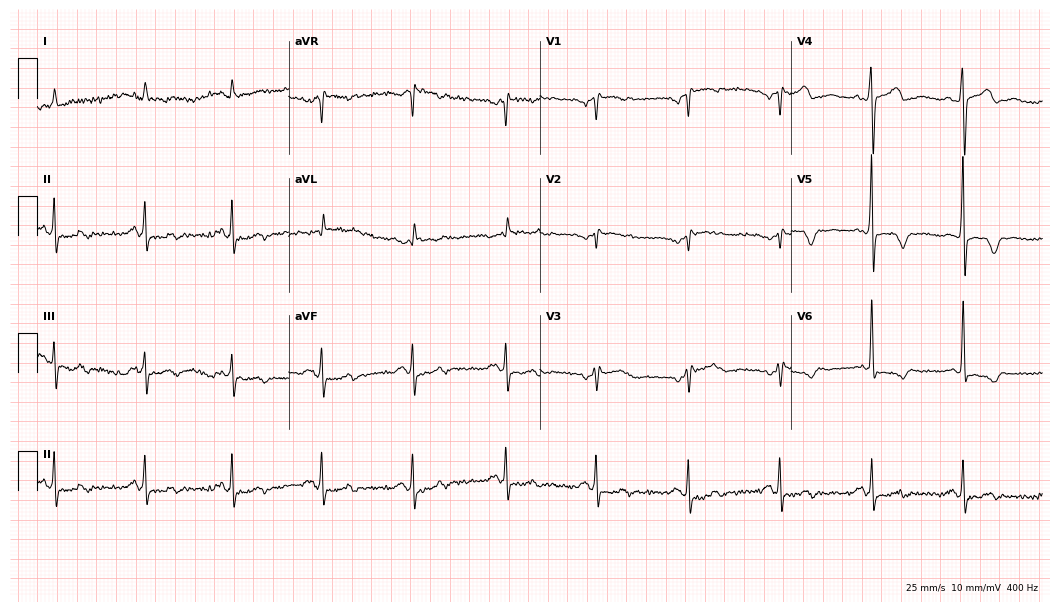
12-lead ECG from a 73-year-old man. Screened for six findings — first-degree AV block, right bundle branch block (RBBB), left bundle branch block (LBBB), sinus bradycardia, atrial fibrillation (AF), sinus tachycardia — none is recorded.